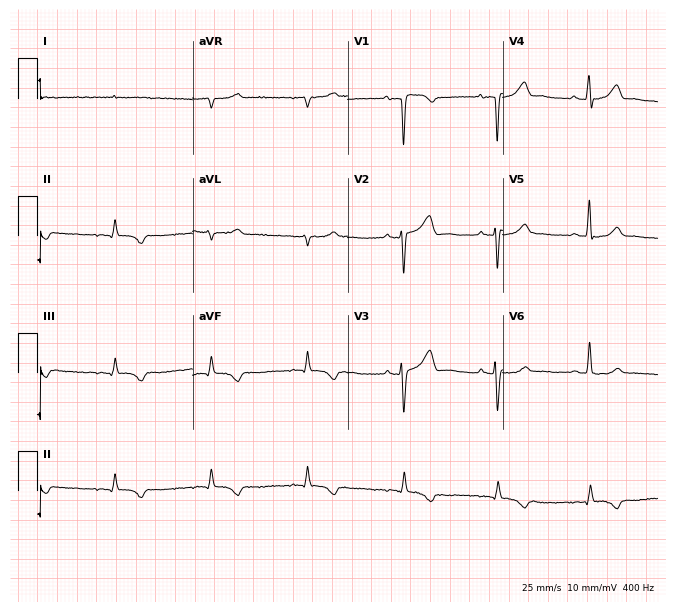
Standard 12-lead ECG recorded from a 55-year-old female. None of these six findings is recorded: first-degree AV block, right bundle branch block (RBBB), left bundle branch block (LBBB), sinus bradycardia, atrial fibrillation (AF), sinus tachycardia.